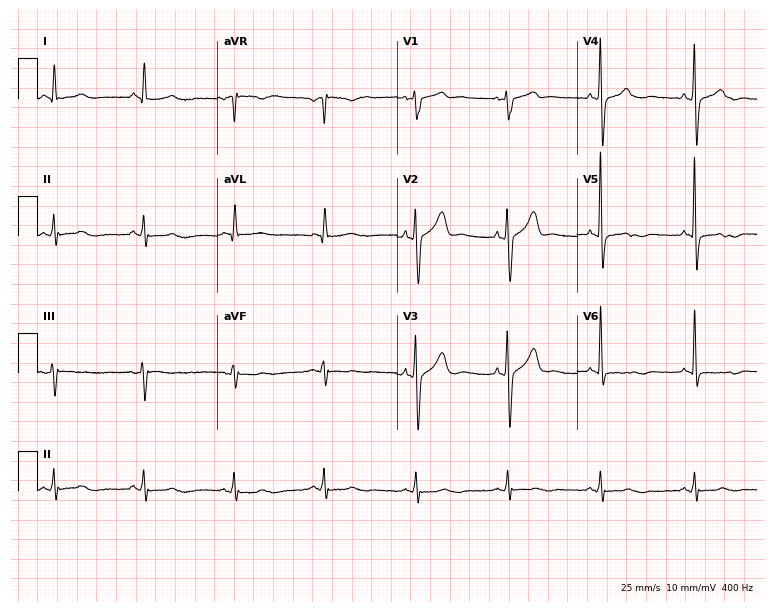
Electrocardiogram, a 74-year-old man. Of the six screened findings (first-degree AV block, right bundle branch block (RBBB), left bundle branch block (LBBB), sinus bradycardia, atrial fibrillation (AF), sinus tachycardia), none is recorded. Only these six findings were labelled.